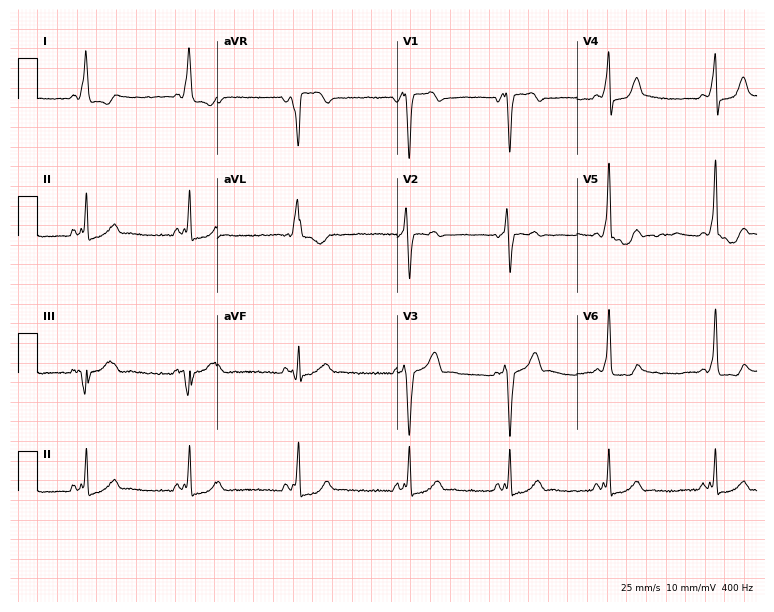
Electrocardiogram, a 17-year-old female patient. Of the six screened findings (first-degree AV block, right bundle branch block, left bundle branch block, sinus bradycardia, atrial fibrillation, sinus tachycardia), none is recorded. Findings outside these six are not listed.